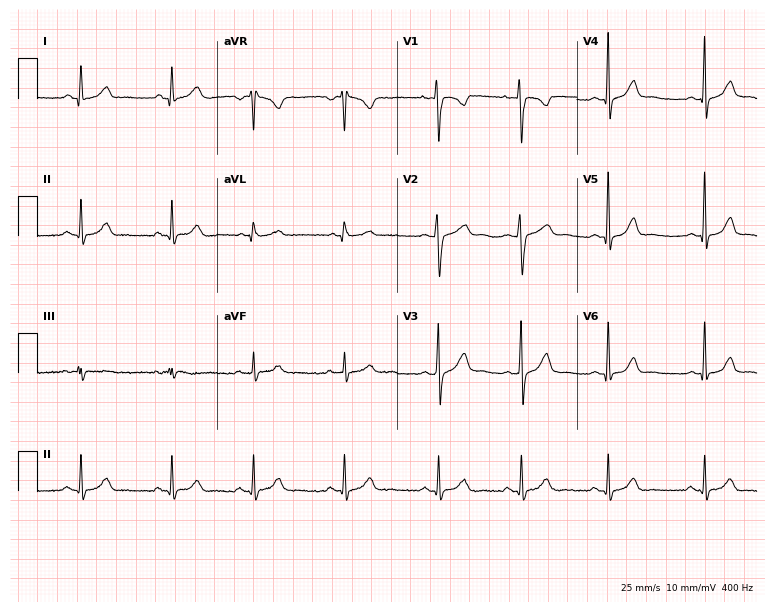
ECG — a woman, 23 years old. Screened for six findings — first-degree AV block, right bundle branch block (RBBB), left bundle branch block (LBBB), sinus bradycardia, atrial fibrillation (AF), sinus tachycardia — none is recorded.